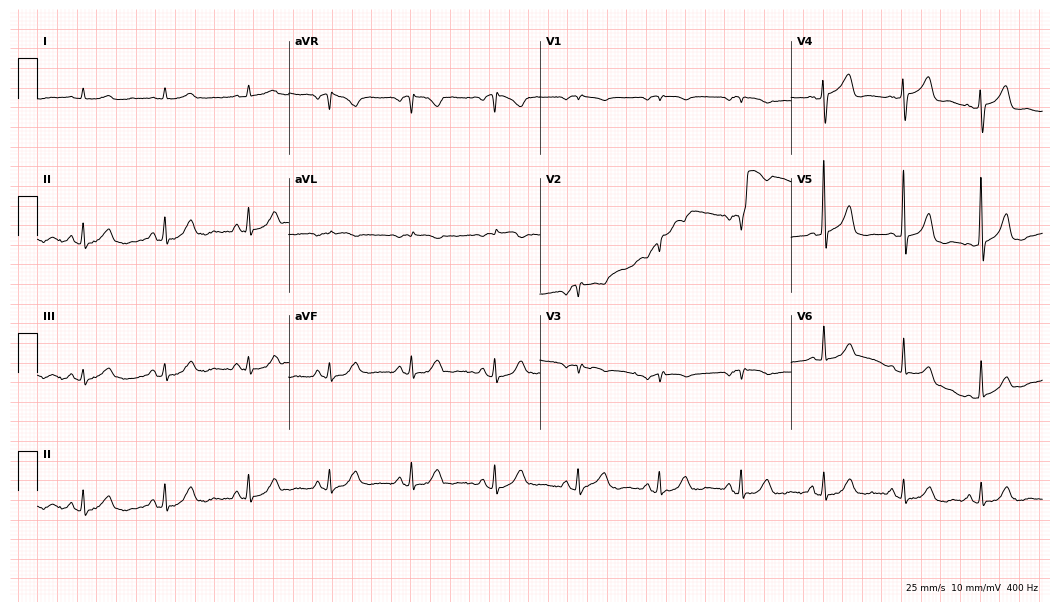
Resting 12-lead electrocardiogram. Patient: a male, 77 years old. Read as a normal ECG.